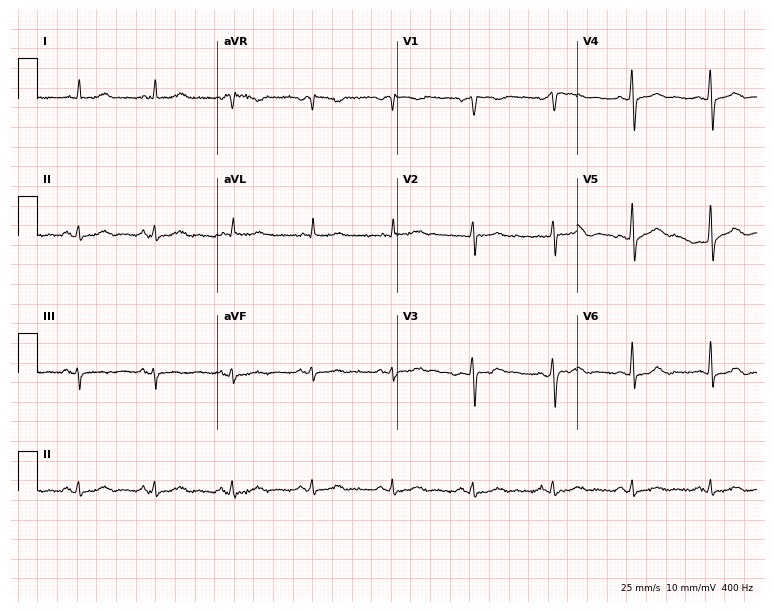
ECG — a 72-year-old male. Labelled as a normal ECG.